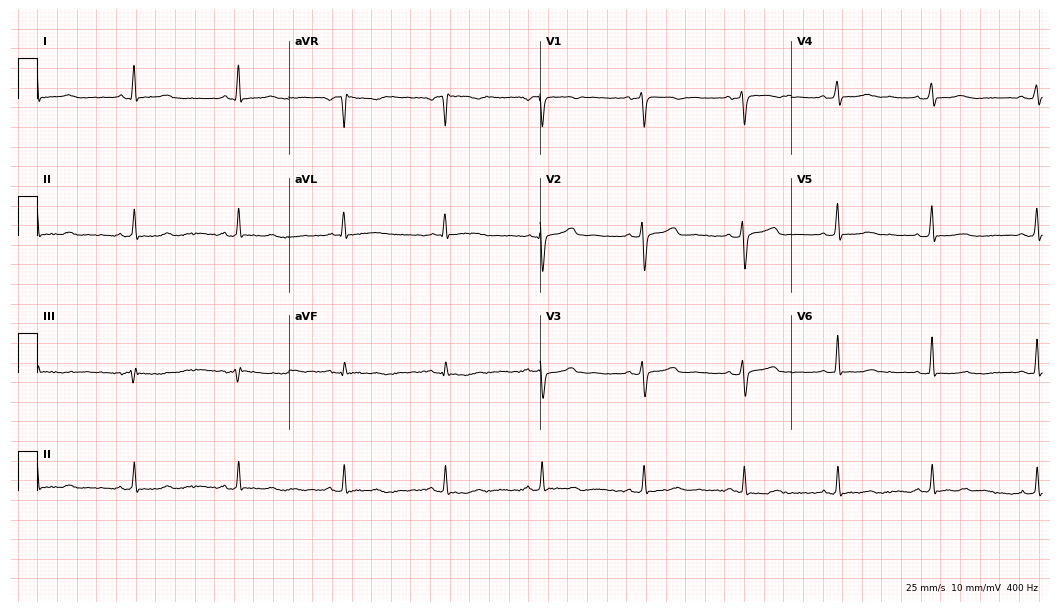
Resting 12-lead electrocardiogram (10.2-second recording at 400 Hz). Patient: a female, 31 years old. Read as a normal ECG.